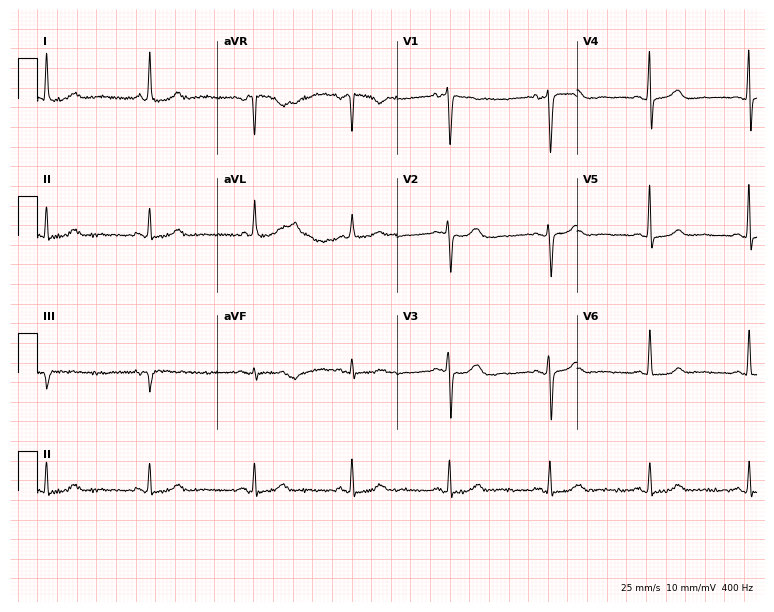
12-lead ECG from a 66-year-old female. Recorded interpretation: within normal limits.